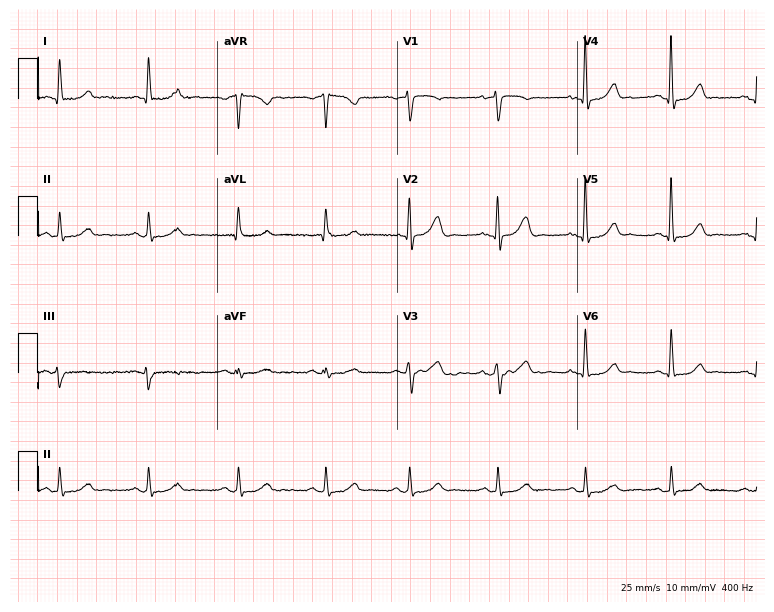
12-lead ECG from a 54-year-old female patient. Recorded interpretation: within normal limits.